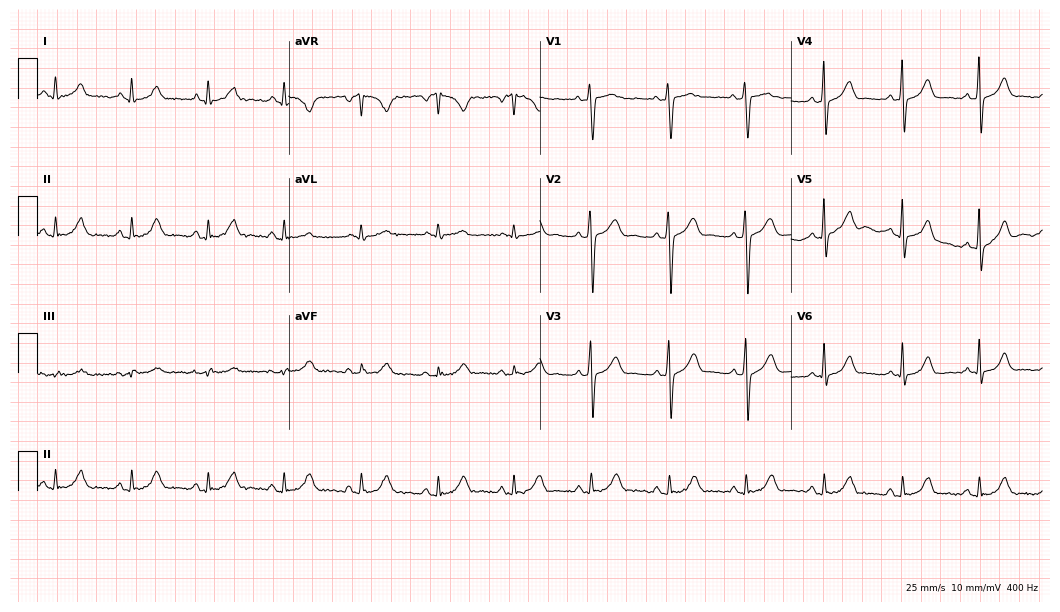
Electrocardiogram (10.2-second recording at 400 Hz), a 25-year-old female patient. Overall reading on record: normal ECG.